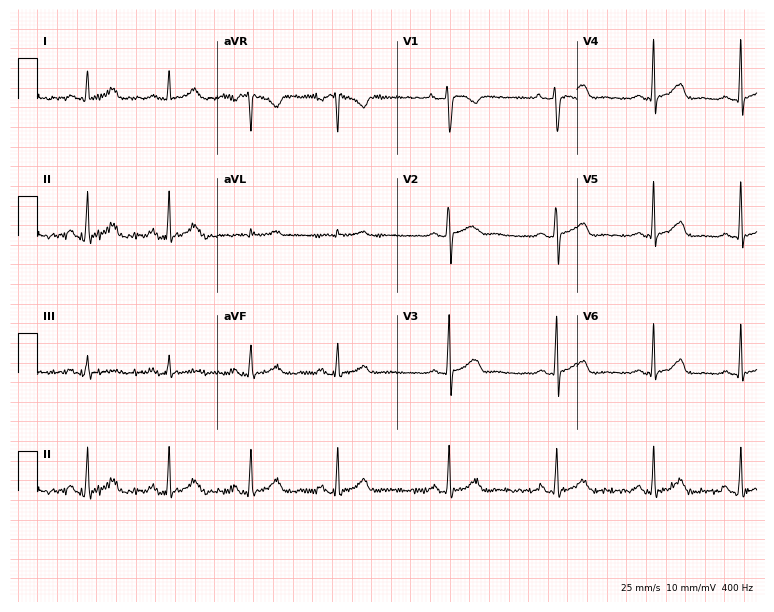
Standard 12-lead ECG recorded from a 26-year-old woman (7.3-second recording at 400 Hz). None of these six findings is recorded: first-degree AV block, right bundle branch block, left bundle branch block, sinus bradycardia, atrial fibrillation, sinus tachycardia.